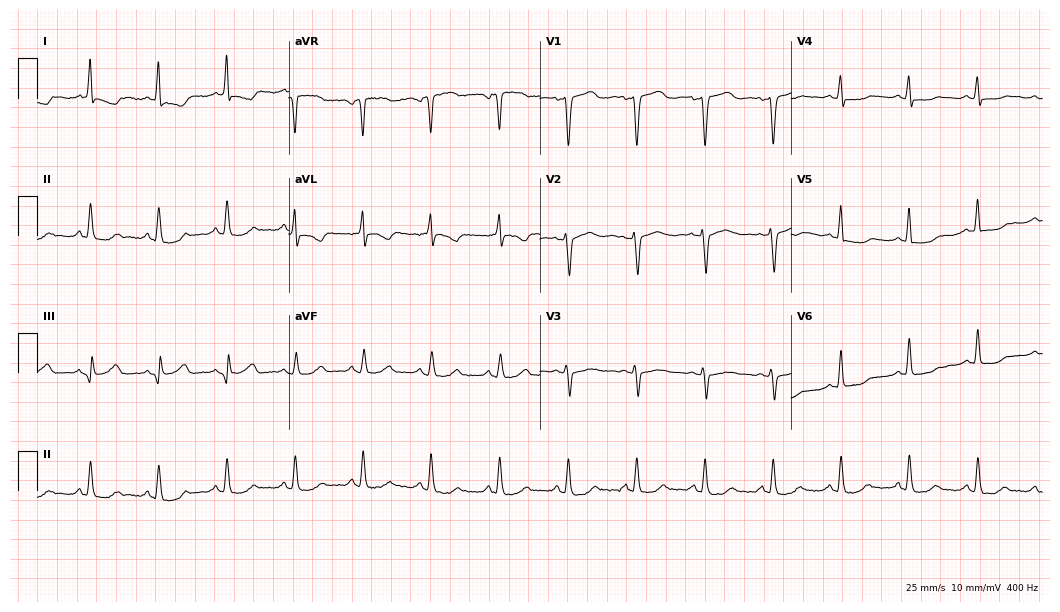
ECG (10.2-second recording at 400 Hz) — a 44-year-old female. Screened for six findings — first-degree AV block, right bundle branch block, left bundle branch block, sinus bradycardia, atrial fibrillation, sinus tachycardia — none is recorded. Findings outside these six are not listed.